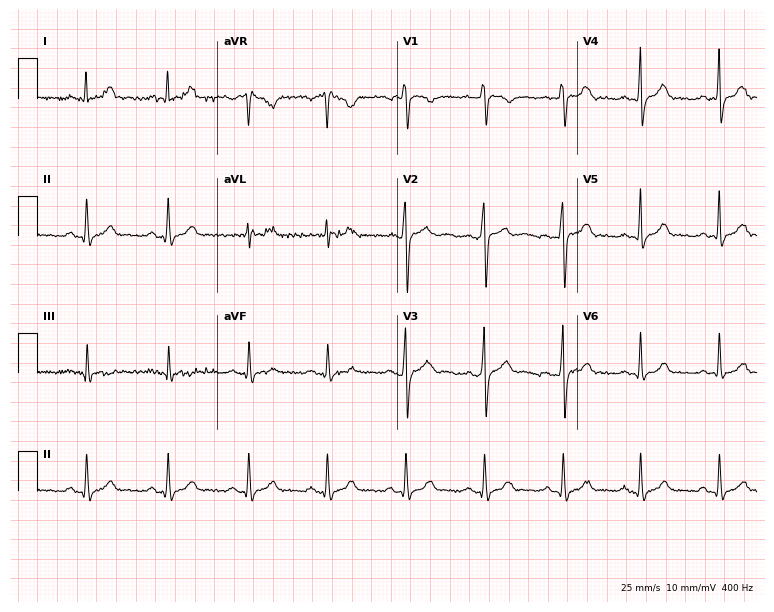
12-lead ECG from a 30-year-old male (7.3-second recording at 400 Hz). Recorded interpretation: within normal limits.